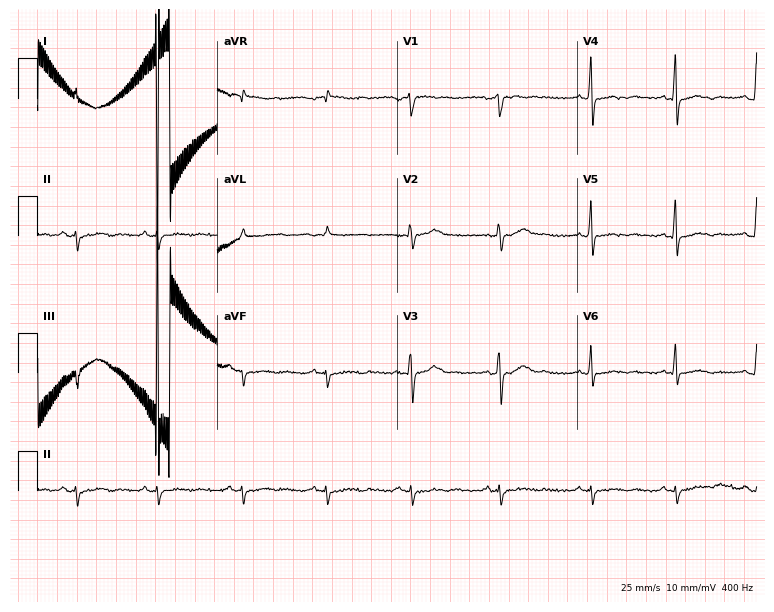
Standard 12-lead ECG recorded from a male patient, 72 years old (7.3-second recording at 400 Hz). None of these six findings is recorded: first-degree AV block, right bundle branch block (RBBB), left bundle branch block (LBBB), sinus bradycardia, atrial fibrillation (AF), sinus tachycardia. Other findings, if any, are not listed.